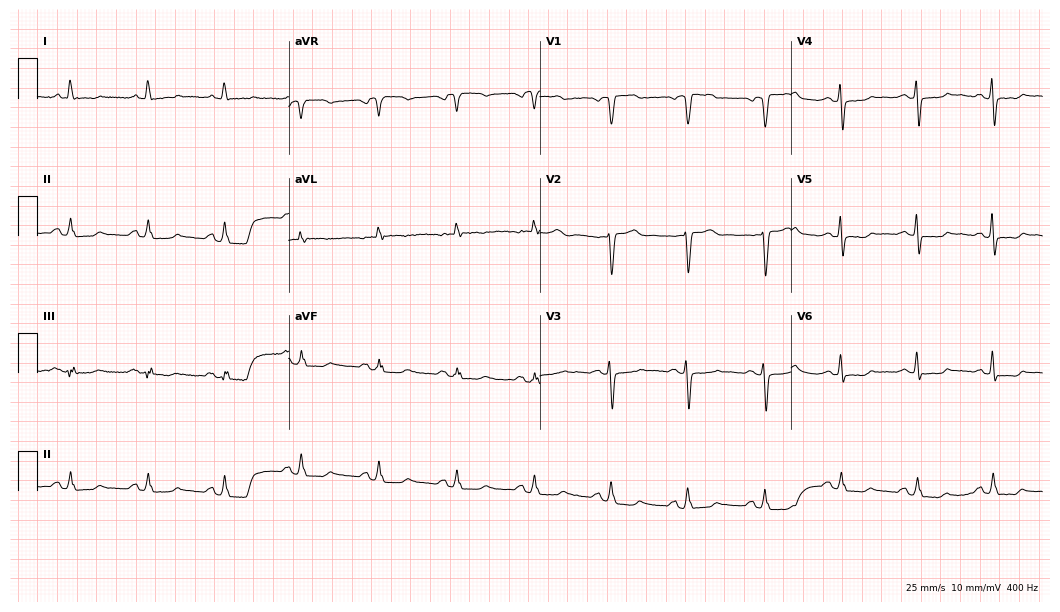
12-lead ECG from a woman, 61 years old. Labelled as a normal ECG.